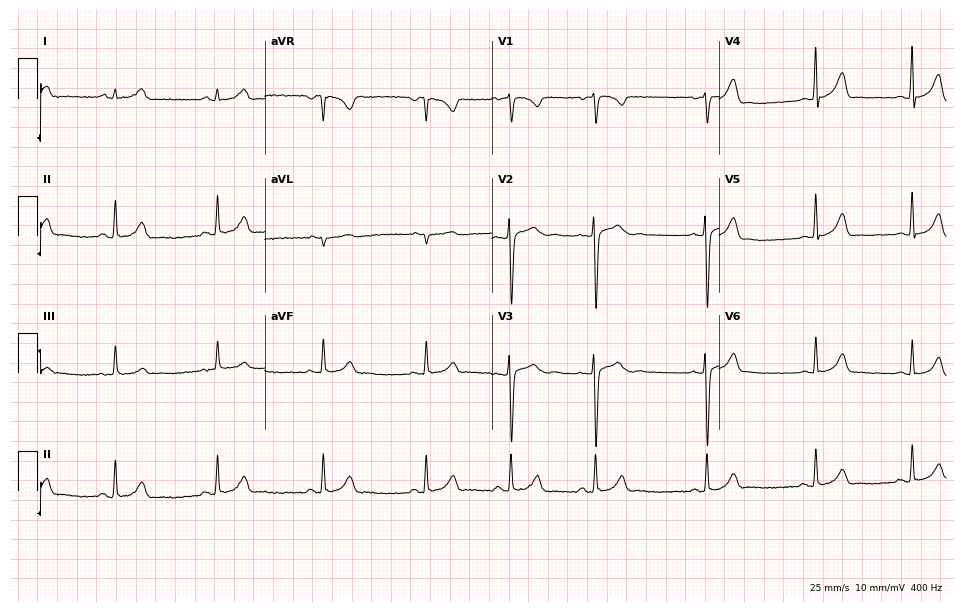
Resting 12-lead electrocardiogram. Patient: a female, 19 years old. Read as a normal ECG.